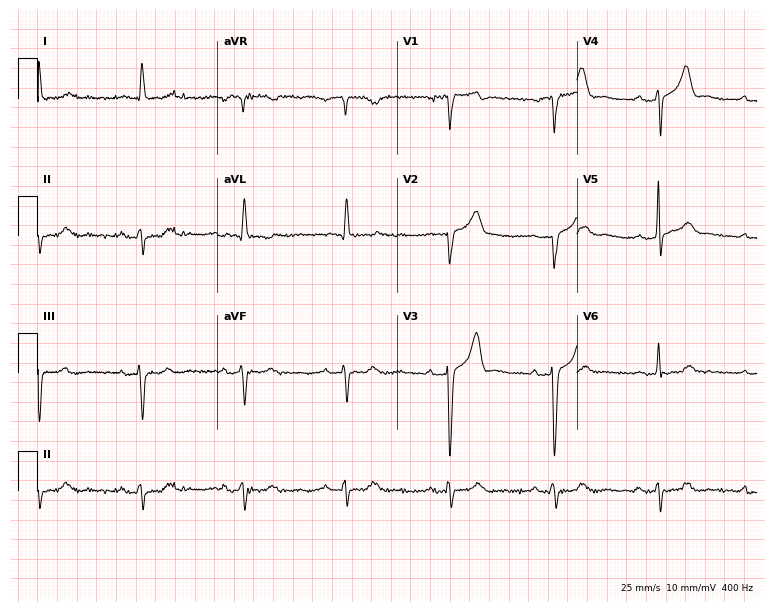
ECG — an 81-year-old man. Findings include first-degree AV block.